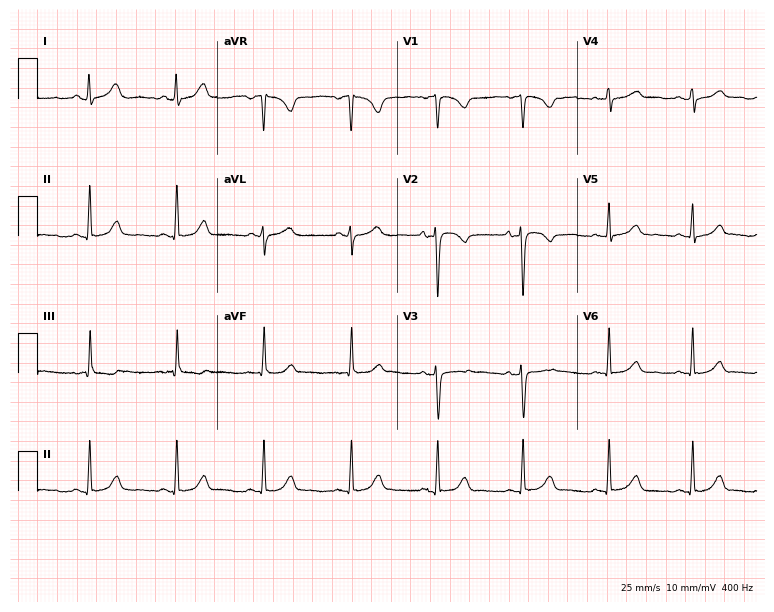
Standard 12-lead ECG recorded from a female patient, 36 years old. None of these six findings is recorded: first-degree AV block, right bundle branch block (RBBB), left bundle branch block (LBBB), sinus bradycardia, atrial fibrillation (AF), sinus tachycardia. Only these six findings were labelled.